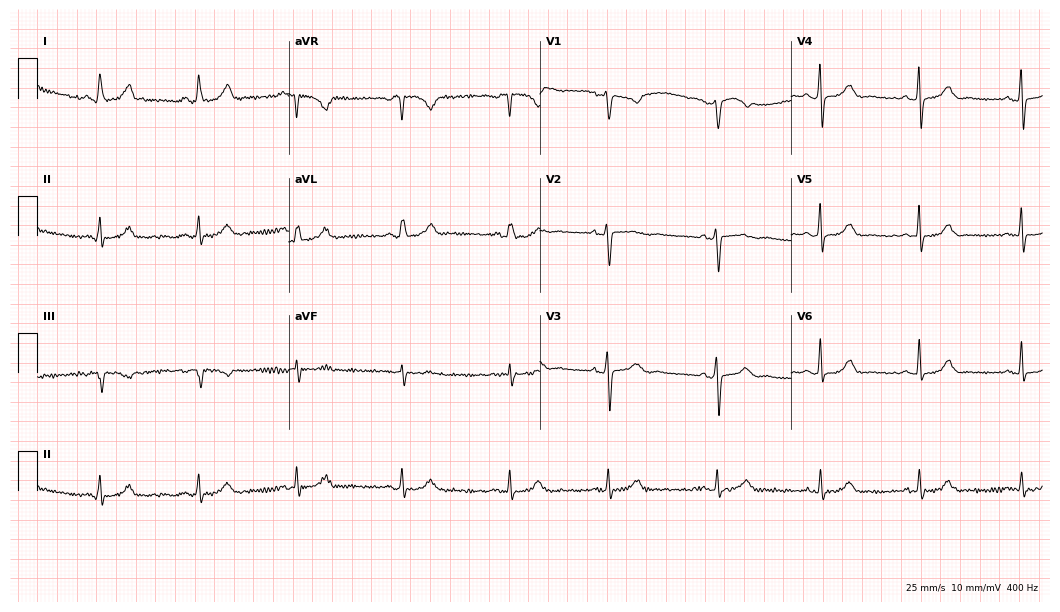
Resting 12-lead electrocardiogram (10.2-second recording at 400 Hz). Patient: a 25-year-old female. Read as a normal ECG.